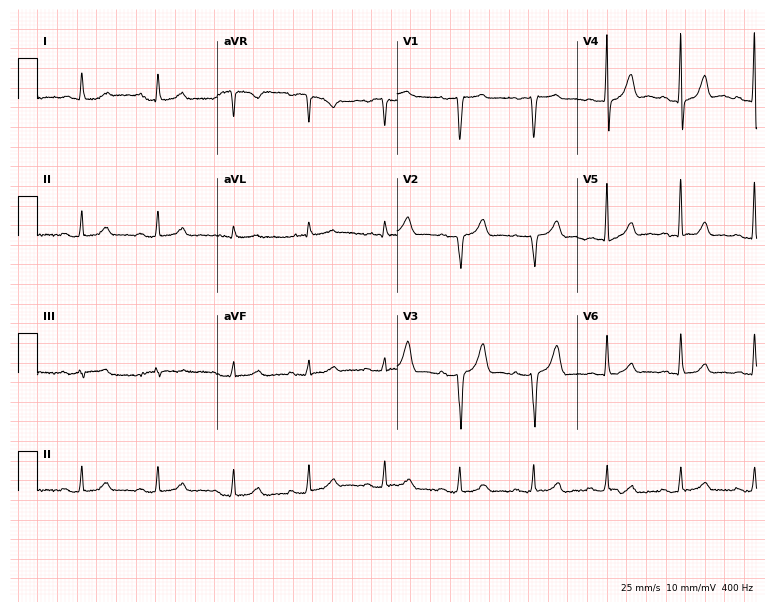
ECG (7.3-second recording at 400 Hz) — a man, 75 years old. Labelled as a normal ECG.